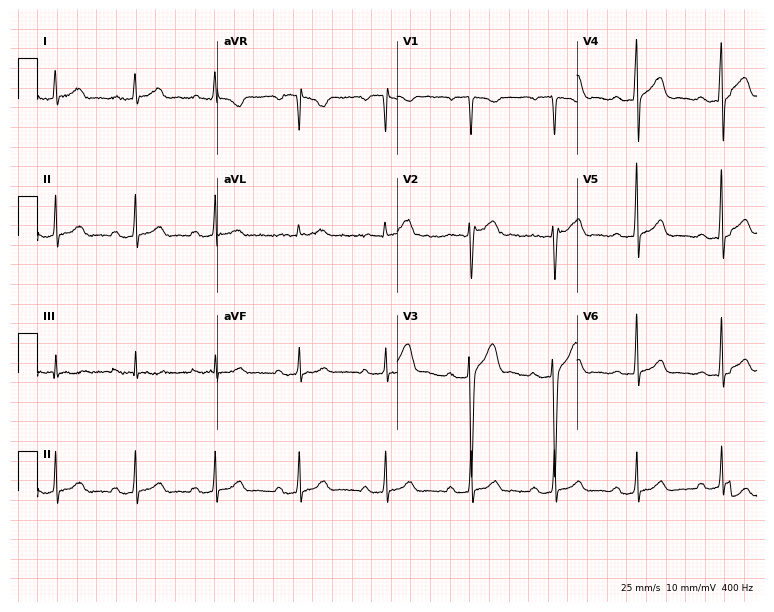
Electrocardiogram (7.3-second recording at 400 Hz), a male patient, 43 years old. Interpretation includes first-degree AV block.